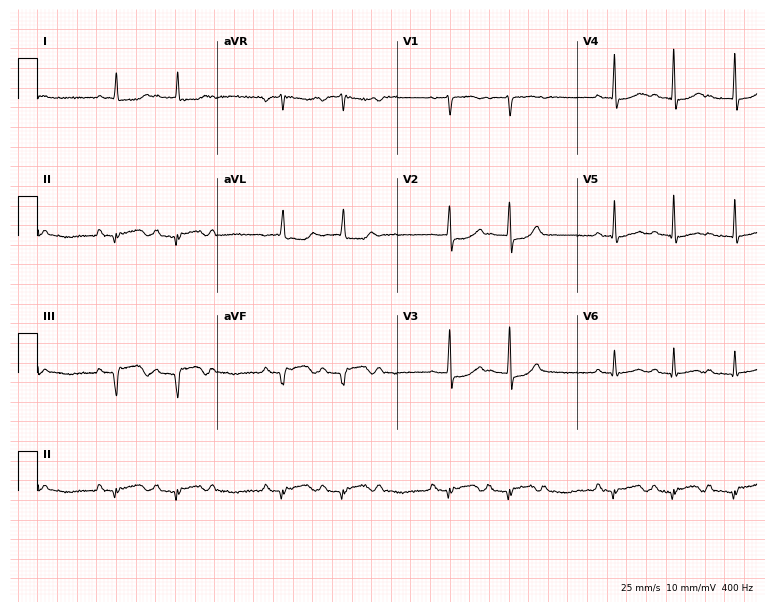
12-lead ECG from a 58-year-old woman. Shows first-degree AV block.